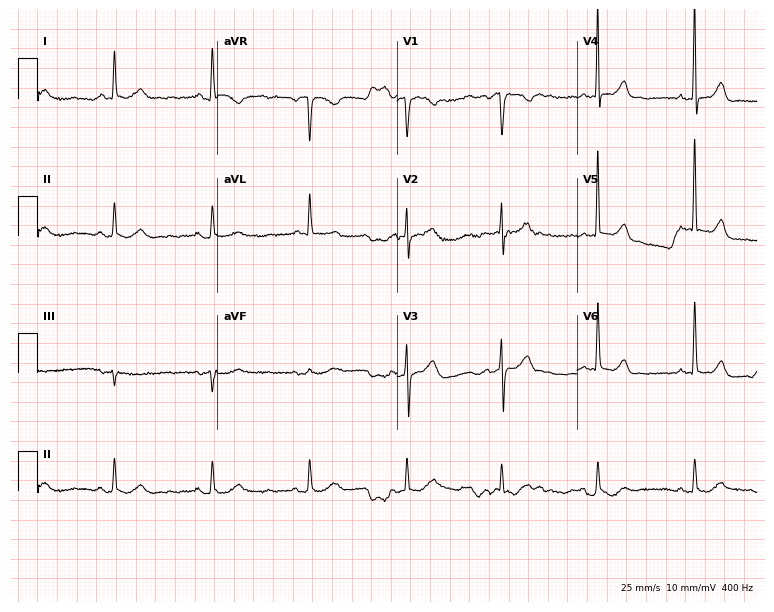
ECG — a female patient, 79 years old. Labelled as a normal ECG.